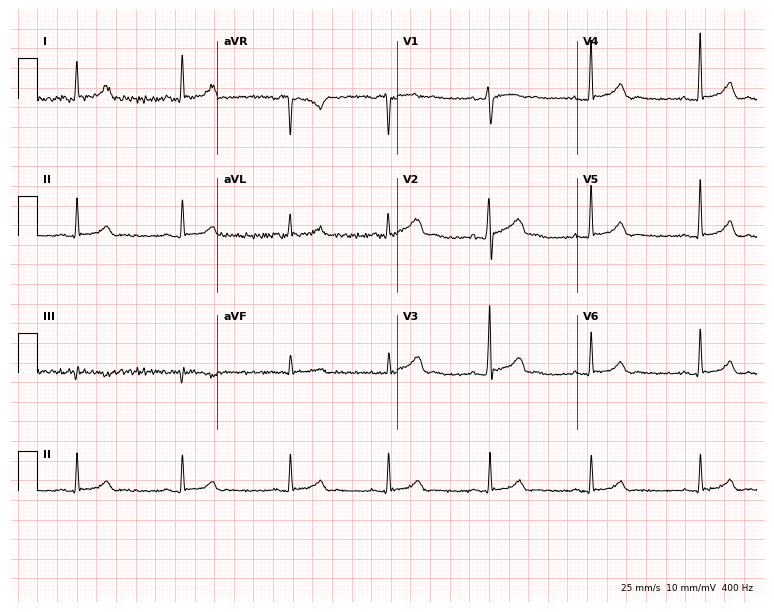
ECG — a 37-year-old male patient. Screened for six findings — first-degree AV block, right bundle branch block, left bundle branch block, sinus bradycardia, atrial fibrillation, sinus tachycardia — none is recorded. Only these six findings were labelled.